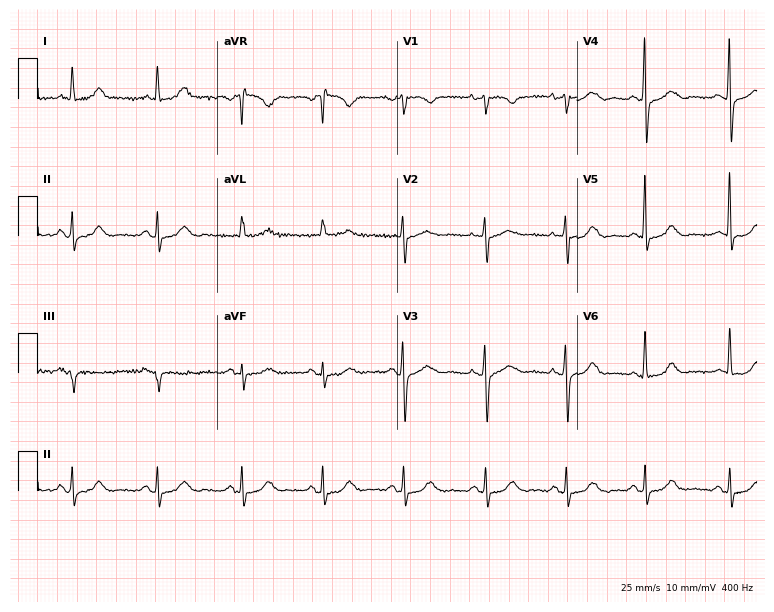
Resting 12-lead electrocardiogram (7.3-second recording at 400 Hz). Patient: a female, 72 years old. Read as a normal ECG.